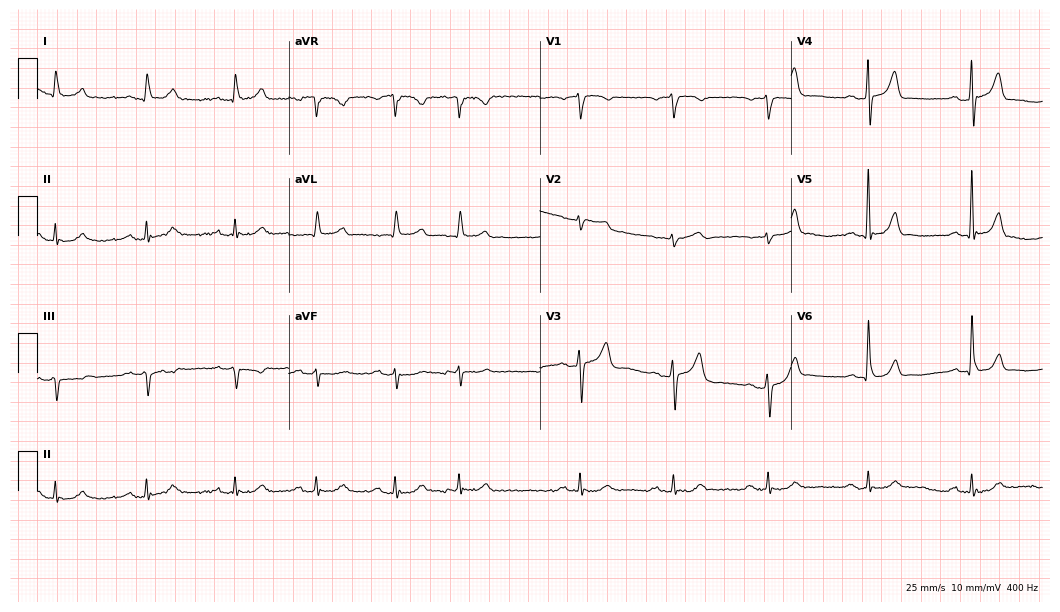
12-lead ECG from a male, 73 years old (10.2-second recording at 400 Hz). Recorded interpretation: within normal limits.